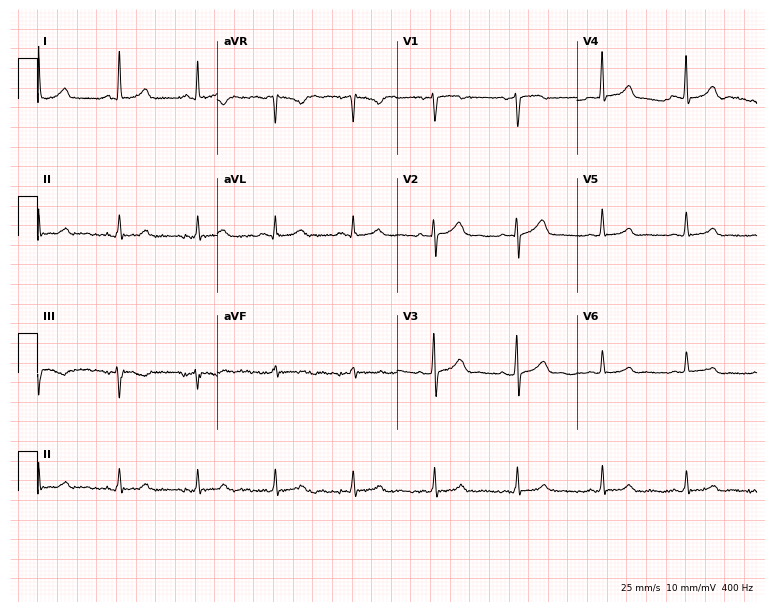
12-lead ECG from a 59-year-old female. Recorded interpretation: within normal limits.